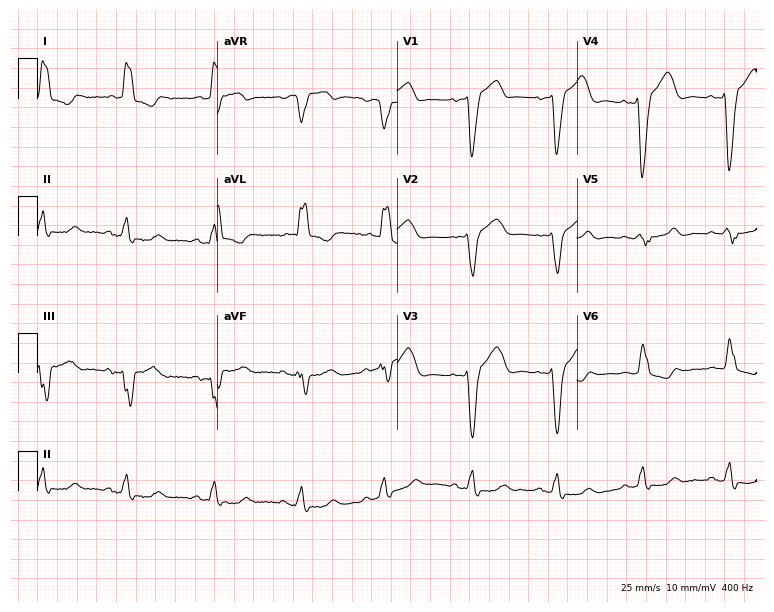
Resting 12-lead electrocardiogram. Patient: an 83-year-old female. The tracing shows left bundle branch block.